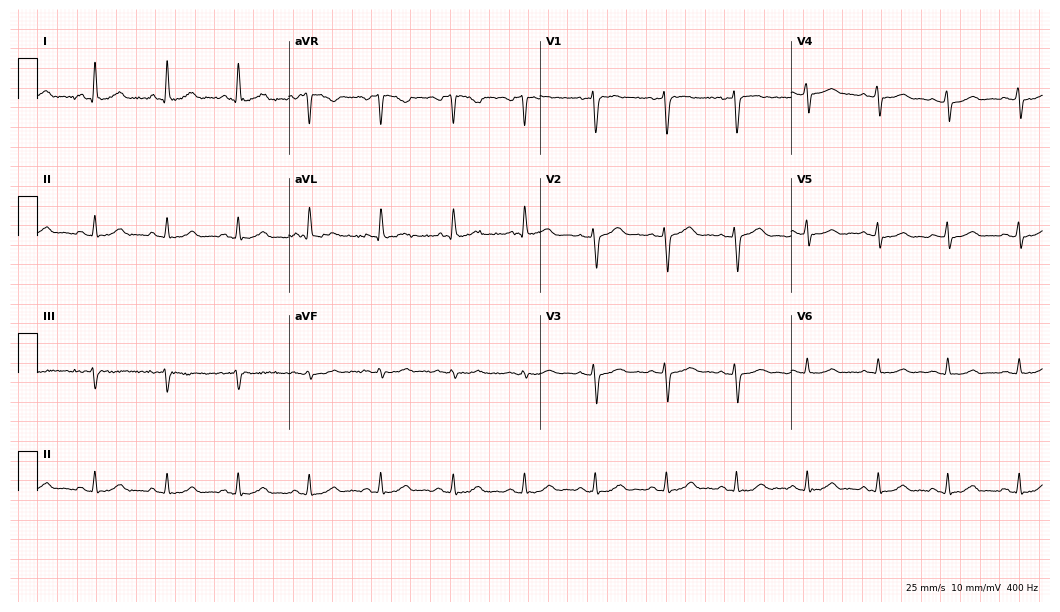
Electrocardiogram, a female, 90 years old or older. Overall reading on record: normal ECG.